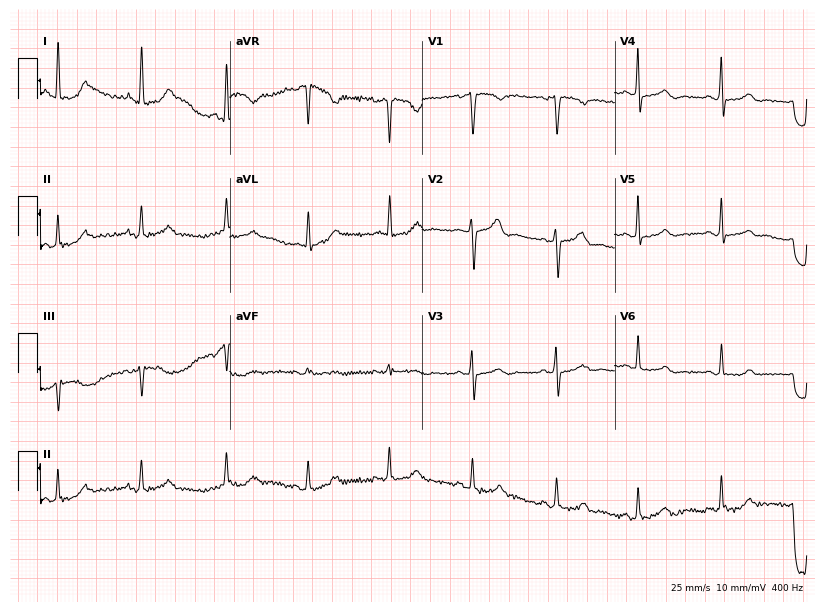
12-lead ECG (7.8-second recording at 400 Hz) from a 41-year-old woman. Labelled as a normal ECG.